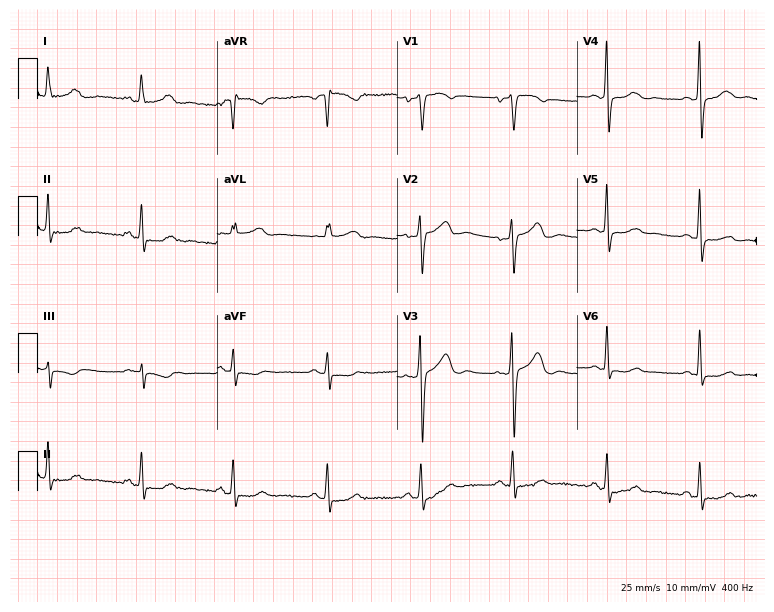
12-lead ECG (7.3-second recording at 400 Hz) from a female patient, 65 years old. Screened for six findings — first-degree AV block, right bundle branch block, left bundle branch block, sinus bradycardia, atrial fibrillation, sinus tachycardia — none is recorded. Only these six findings were labelled.